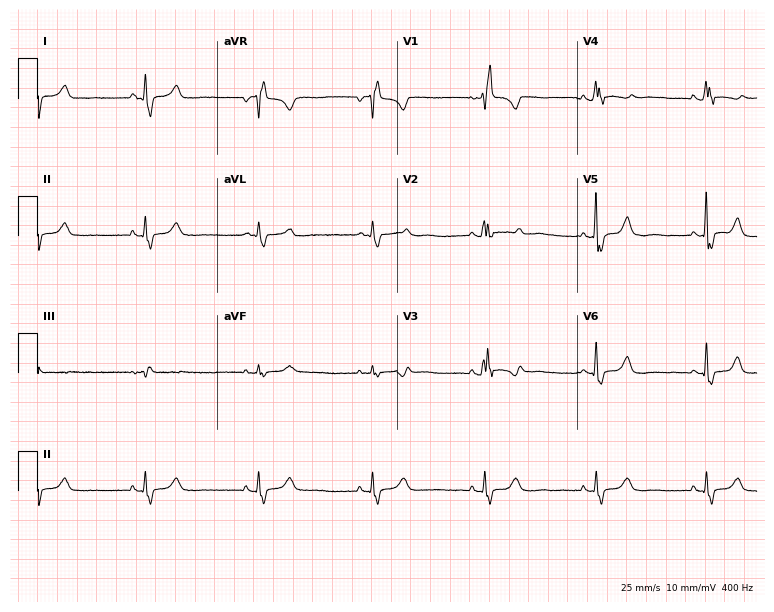
Electrocardiogram (7.3-second recording at 400 Hz), a 51-year-old female patient. Of the six screened findings (first-degree AV block, right bundle branch block (RBBB), left bundle branch block (LBBB), sinus bradycardia, atrial fibrillation (AF), sinus tachycardia), none is recorded.